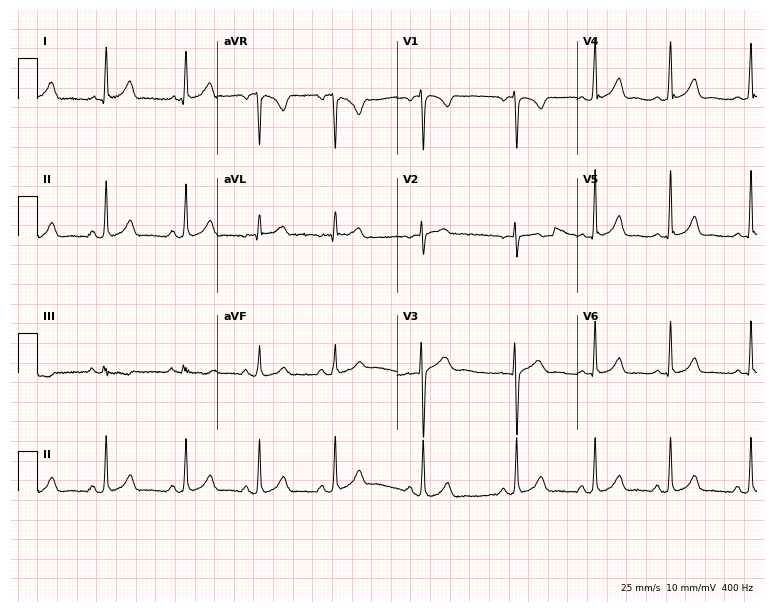
Electrocardiogram (7.3-second recording at 400 Hz), a 29-year-old female patient. Overall reading on record: normal ECG.